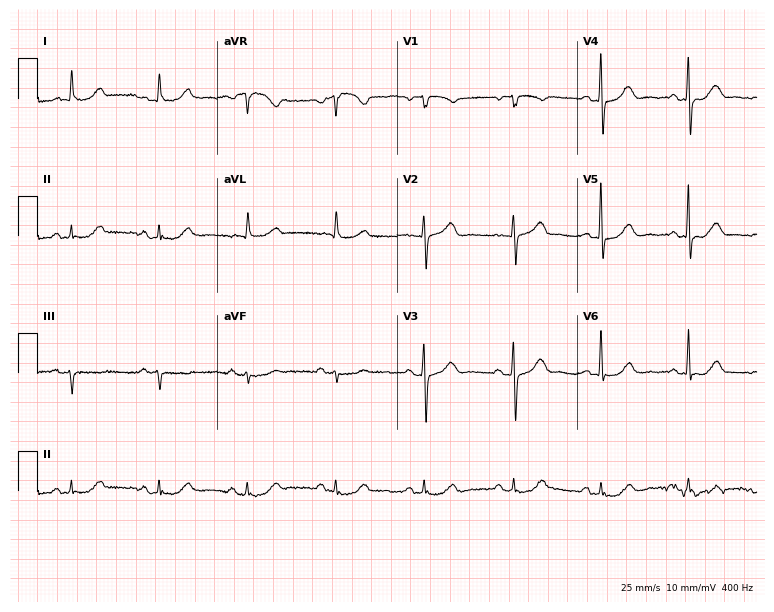
ECG — a 75-year-old female patient. Labelled as a normal ECG.